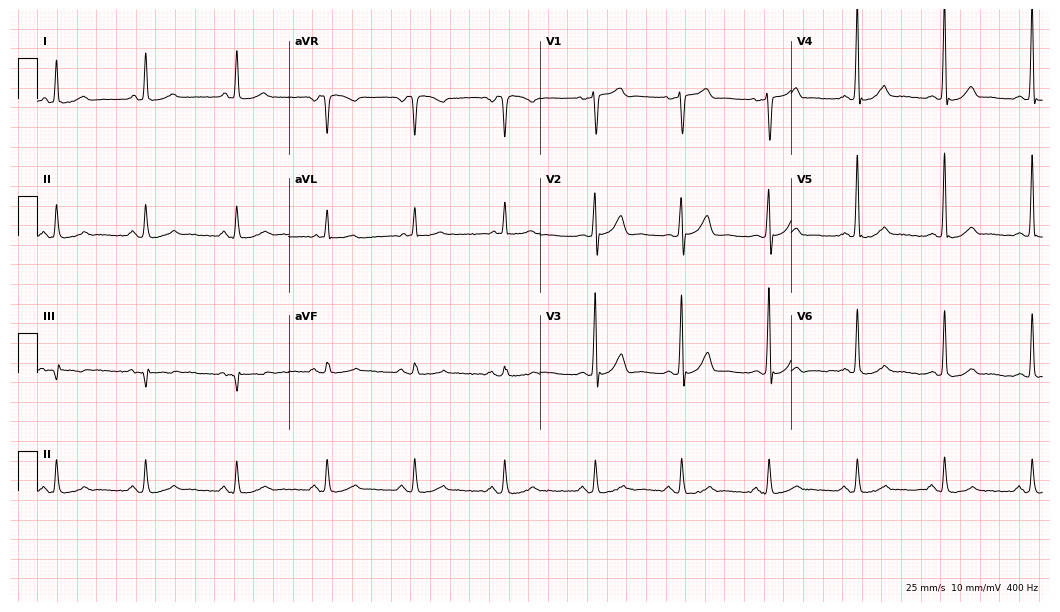
ECG — a male, 60 years old. Labelled as a normal ECG.